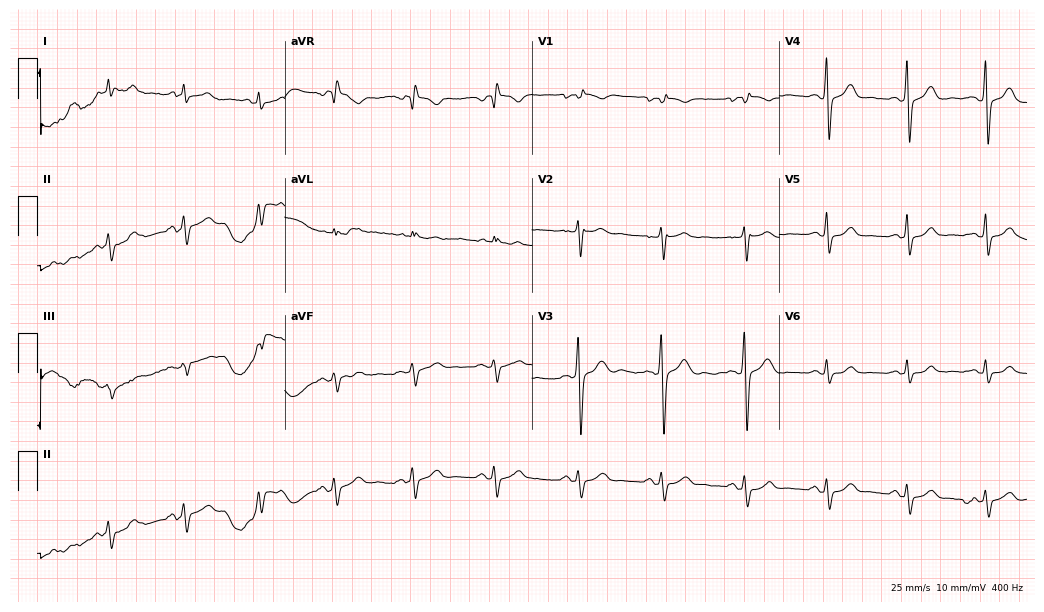
12-lead ECG from a 46-year-old male patient. Screened for six findings — first-degree AV block, right bundle branch block, left bundle branch block, sinus bradycardia, atrial fibrillation, sinus tachycardia — none is recorded. Other findings, if any, are not listed.